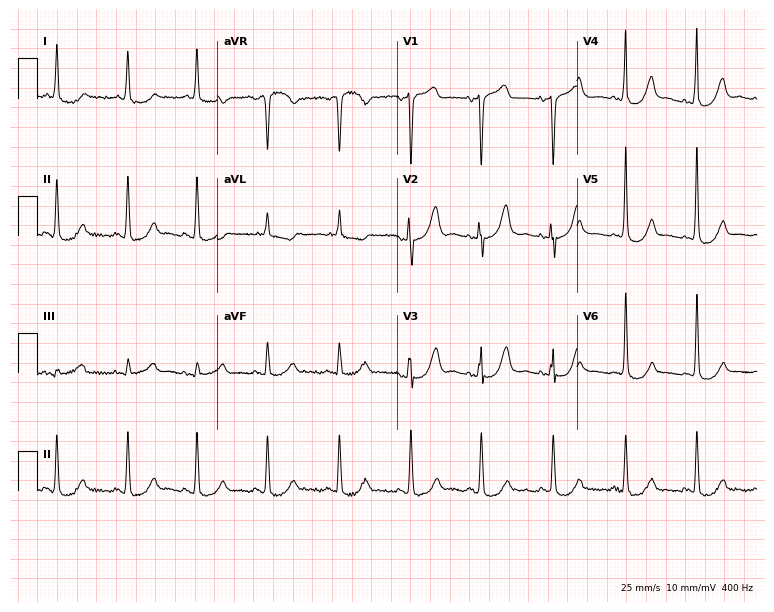
12-lead ECG from a female patient, 85 years old. No first-degree AV block, right bundle branch block, left bundle branch block, sinus bradycardia, atrial fibrillation or sinus tachycardia recorded for this tracing.